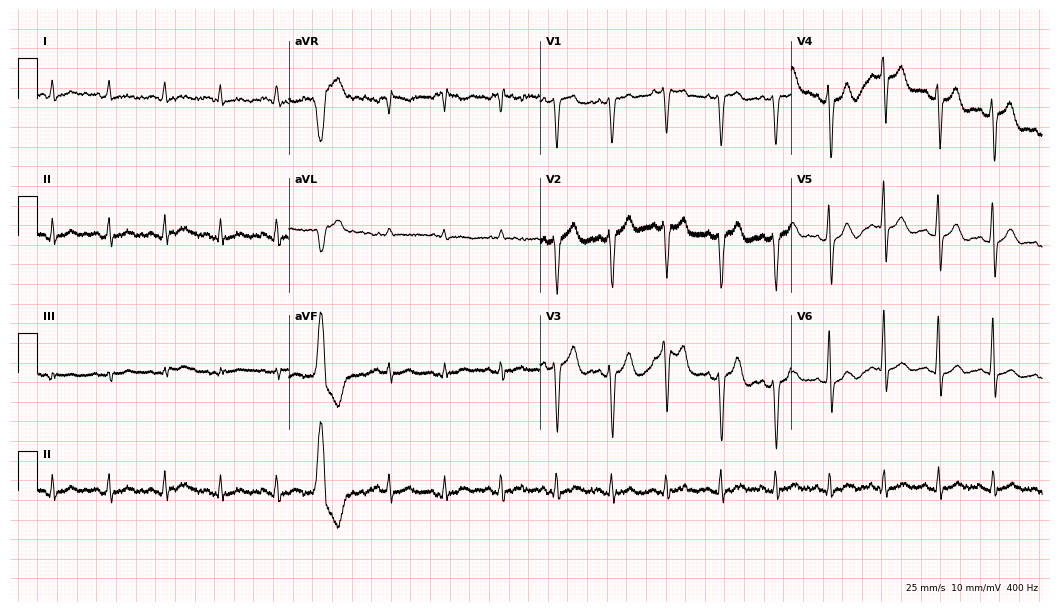
Standard 12-lead ECG recorded from a male, 55 years old (10.2-second recording at 400 Hz). The tracing shows sinus tachycardia (a sinus rate of 100 beats per minute or more).